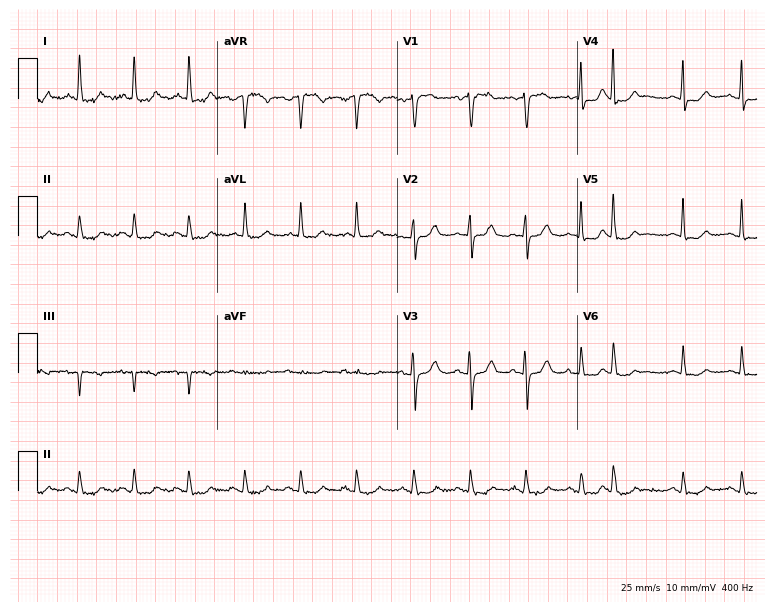
ECG (7.3-second recording at 400 Hz) — a female patient, 82 years old. Findings include sinus tachycardia (a sinus rate of 100 beats per minute or more).